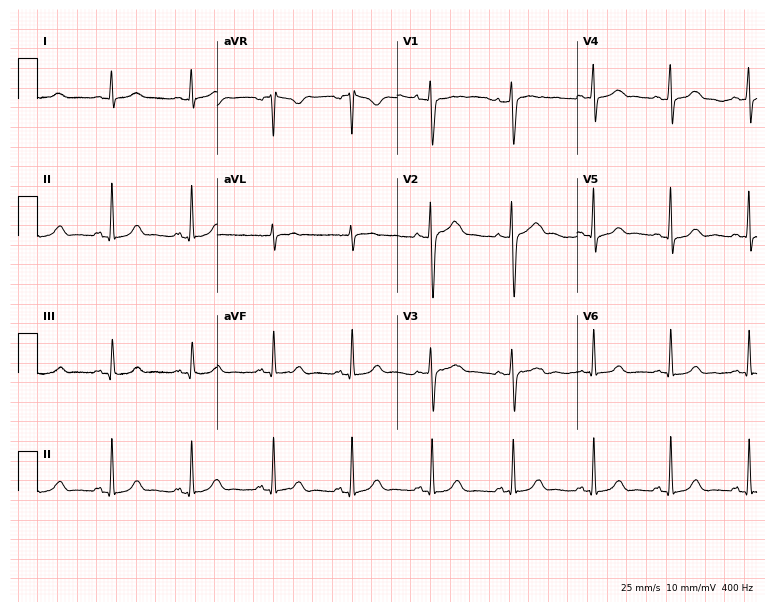
Resting 12-lead electrocardiogram. Patient: a female, 45 years old. Read as a normal ECG.